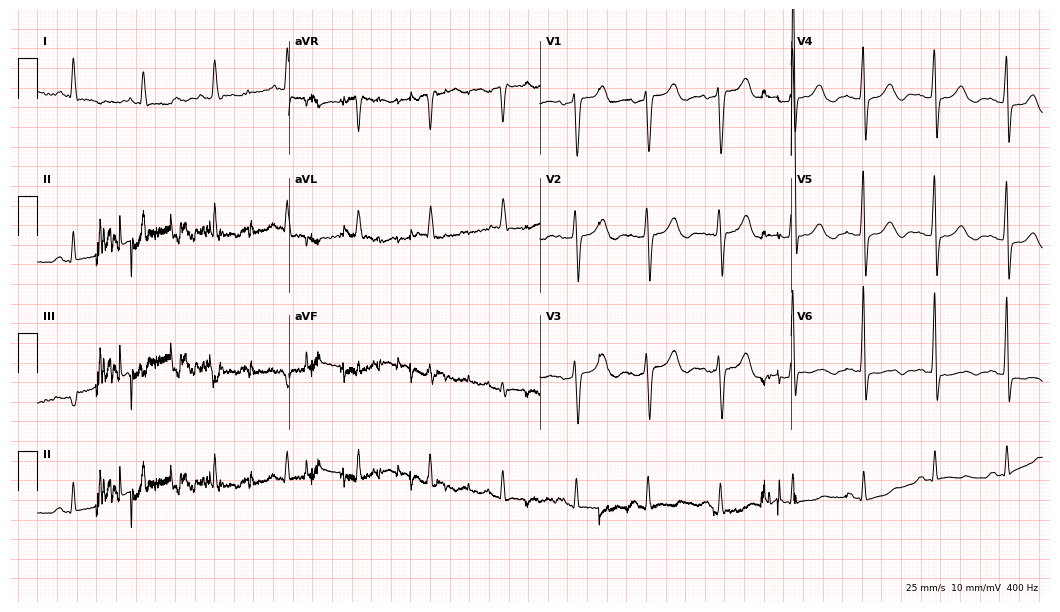
Resting 12-lead electrocardiogram (10.2-second recording at 400 Hz). Patient: a female, 80 years old. None of these six findings is recorded: first-degree AV block, right bundle branch block, left bundle branch block, sinus bradycardia, atrial fibrillation, sinus tachycardia.